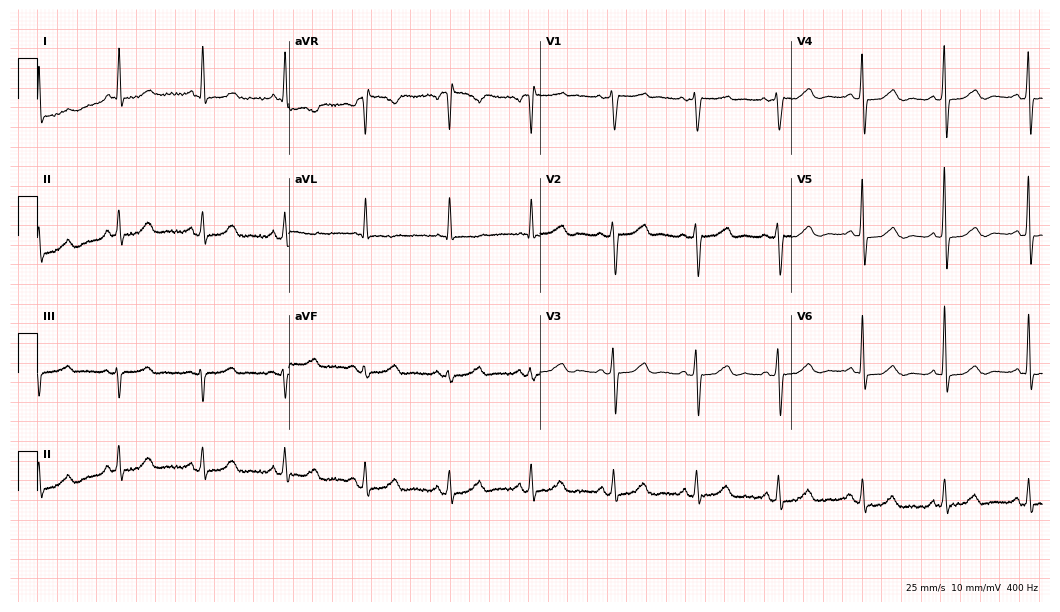
Electrocardiogram (10.2-second recording at 400 Hz), a female, 68 years old. Overall reading on record: normal ECG.